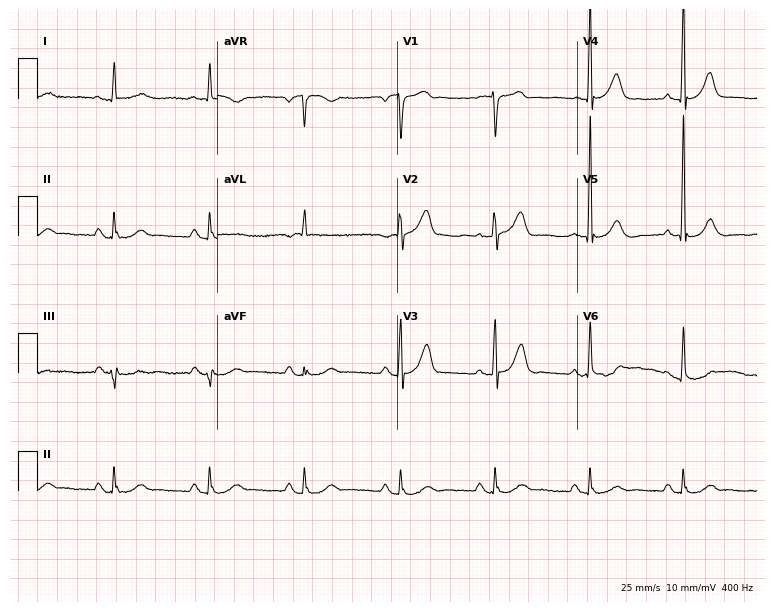
ECG — a male, 83 years old. Screened for six findings — first-degree AV block, right bundle branch block (RBBB), left bundle branch block (LBBB), sinus bradycardia, atrial fibrillation (AF), sinus tachycardia — none is recorded. Other findings, if any, are not listed.